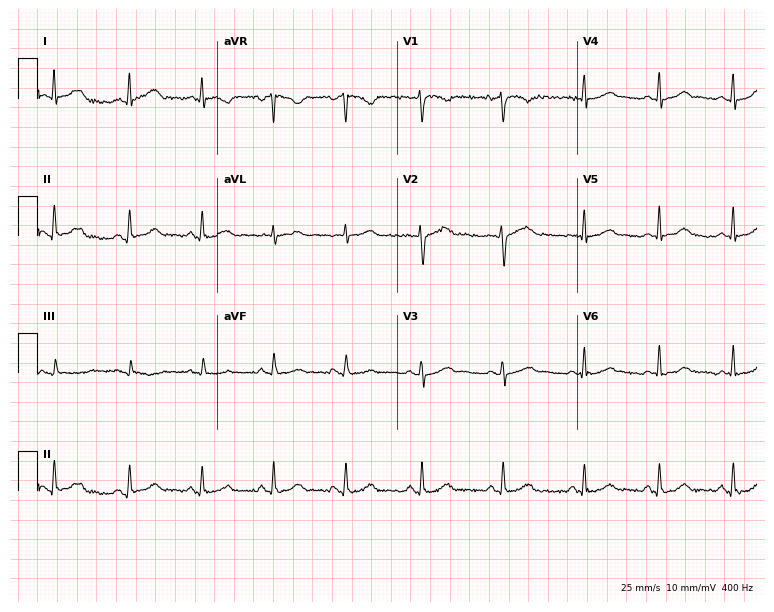
12-lead ECG from a 50-year-old female (7.3-second recording at 400 Hz). Recorded interpretation: within normal limits.